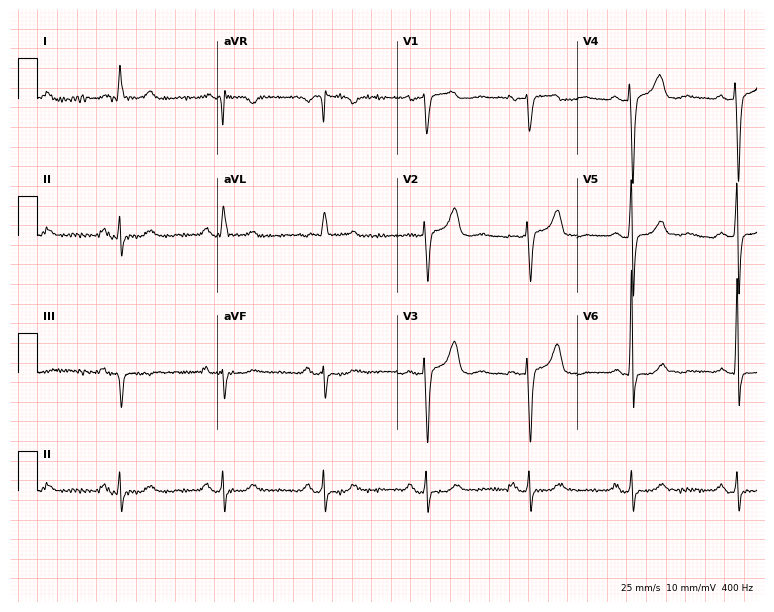
ECG (7.3-second recording at 400 Hz) — a 75-year-old woman. Screened for six findings — first-degree AV block, right bundle branch block (RBBB), left bundle branch block (LBBB), sinus bradycardia, atrial fibrillation (AF), sinus tachycardia — none is recorded.